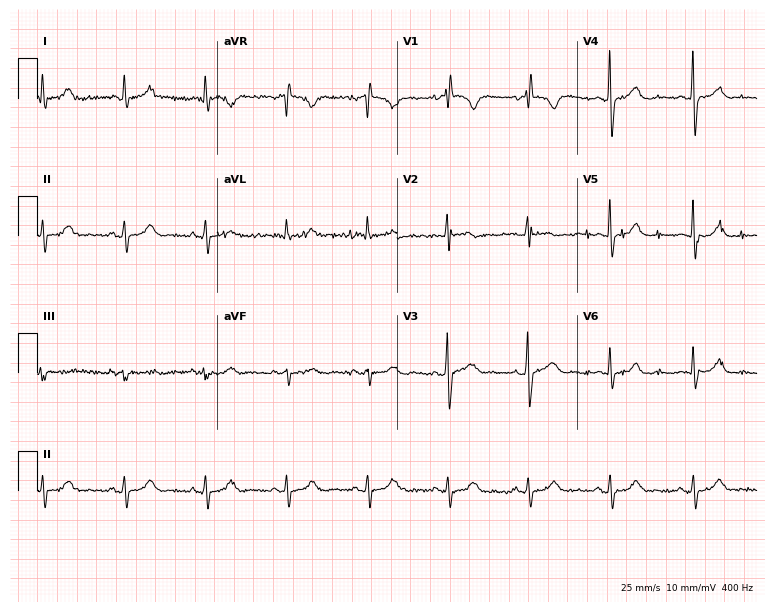
12-lead ECG (7.3-second recording at 400 Hz) from a 68-year-old male. Labelled as a normal ECG.